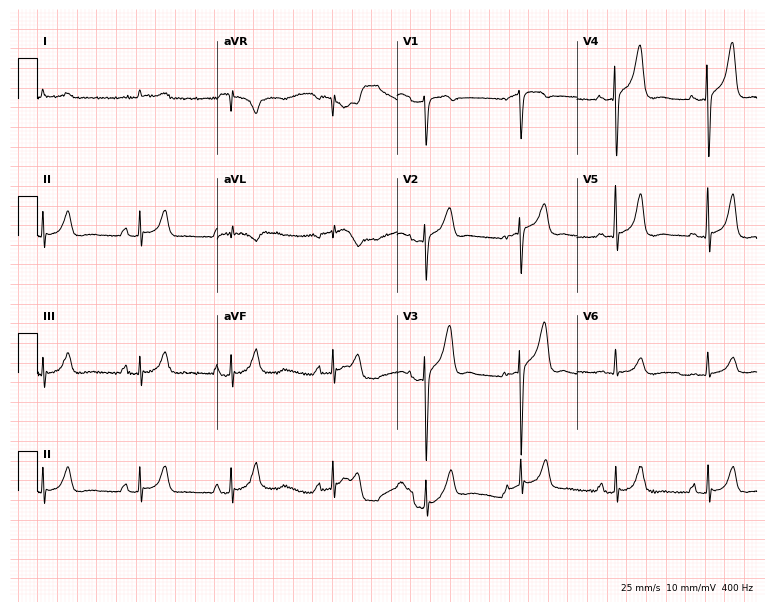
12-lead ECG from a male, 76 years old (7.3-second recording at 400 Hz). No first-degree AV block, right bundle branch block, left bundle branch block, sinus bradycardia, atrial fibrillation or sinus tachycardia recorded for this tracing.